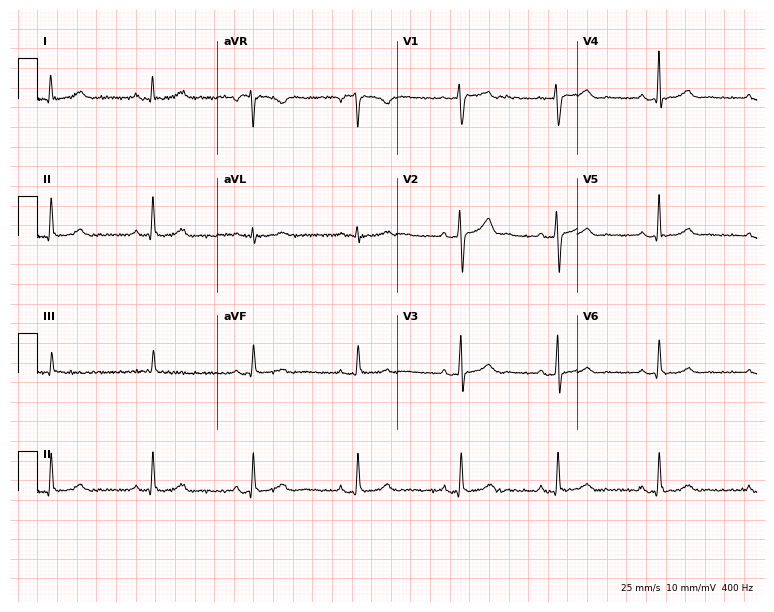
Standard 12-lead ECG recorded from a 32-year-old female (7.3-second recording at 400 Hz). None of these six findings is recorded: first-degree AV block, right bundle branch block (RBBB), left bundle branch block (LBBB), sinus bradycardia, atrial fibrillation (AF), sinus tachycardia.